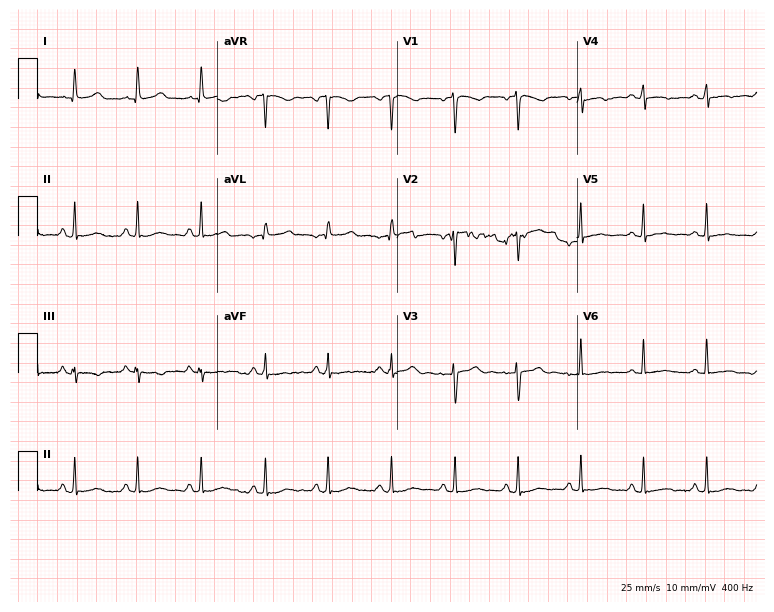
12-lead ECG from a 45-year-old female (7.3-second recording at 400 Hz). Recorded interpretation: within normal limits.